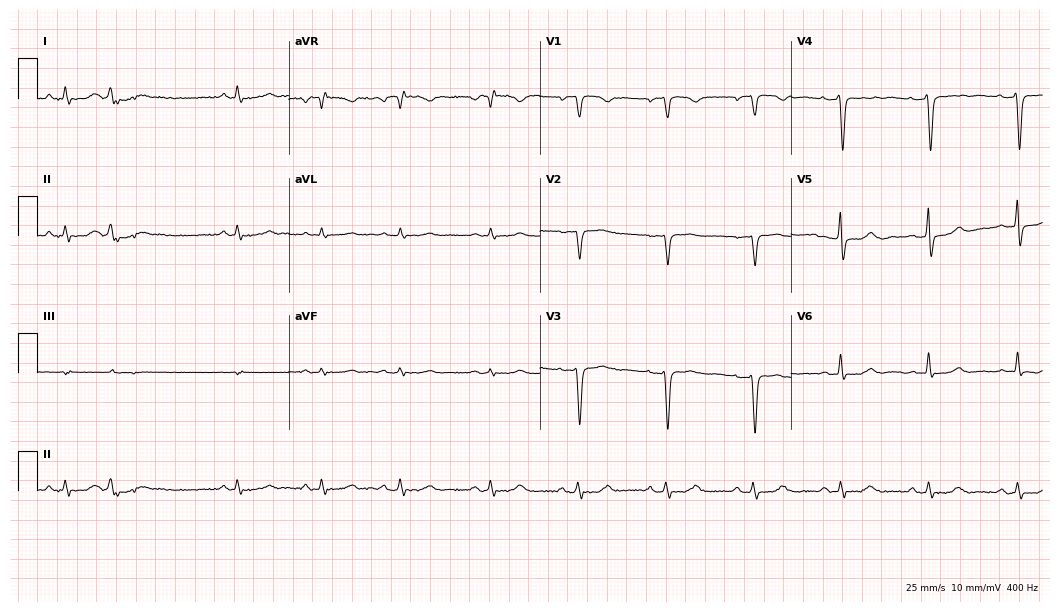
Electrocardiogram (10.2-second recording at 400 Hz), a female patient, 71 years old. Of the six screened findings (first-degree AV block, right bundle branch block (RBBB), left bundle branch block (LBBB), sinus bradycardia, atrial fibrillation (AF), sinus tachycardia), none is recorded. Findings outside these six are not listed.